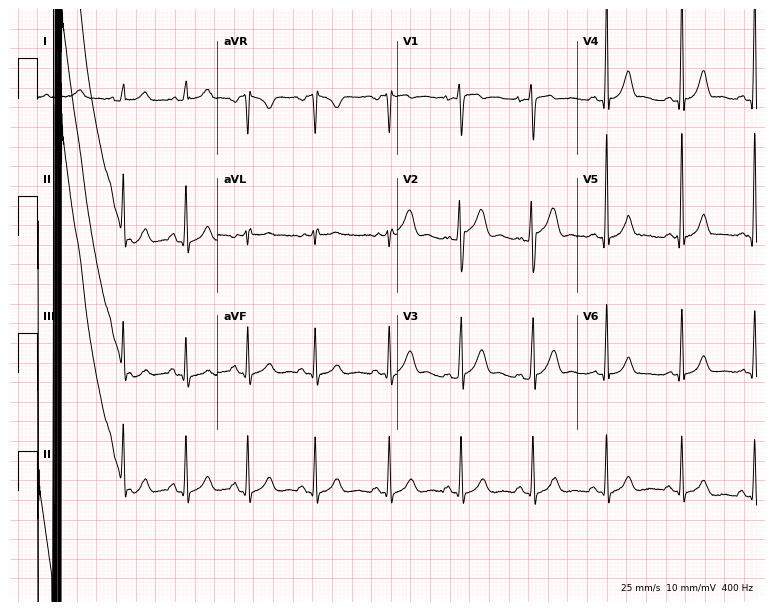
Resting 12-lead electrocardiogram (7.3-second recording at 400 Hz). Patient: a male, 32 years old. Read as a normal ECG.